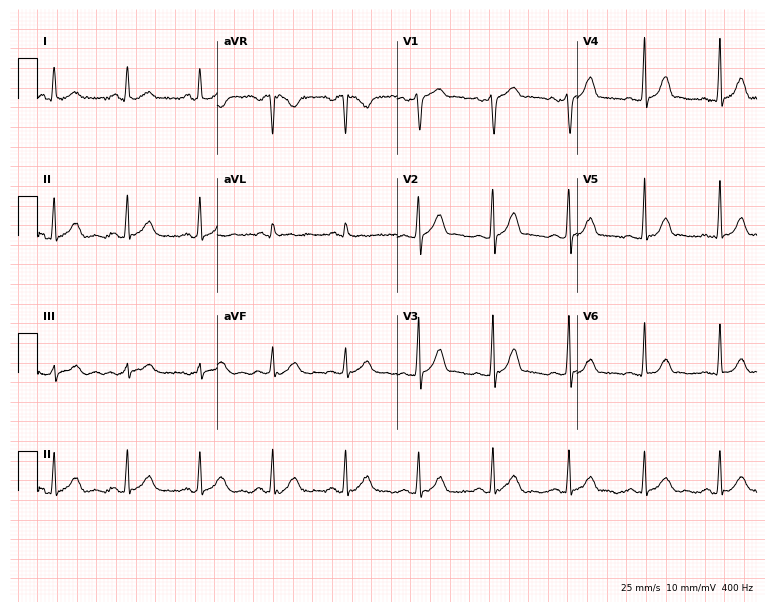
Standard 12-lead ECG recorded from a 61-year-old man. None of these six findings is recorded: first-degree AV block, right bundle branch block (RBBB), left bundle branch block (LBBB), sinus bradycardia, atrial fibrillation (AF), sinus tachycardia.